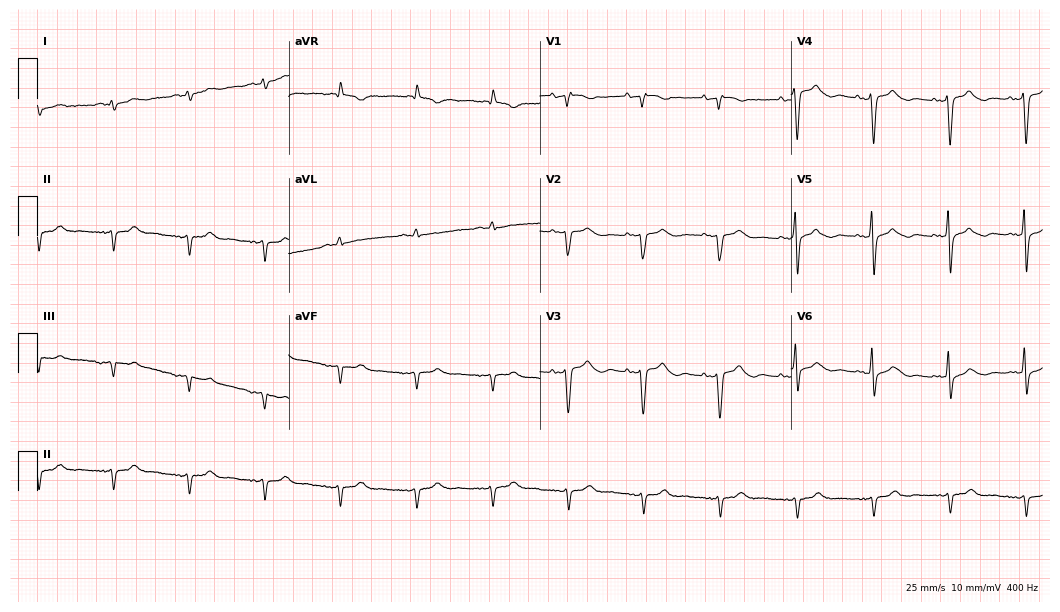
Standard 12-lead ECG recorded from a female, 67 years old. None of these six findings is recorded: first-degree AV block, right bundle branch block, left bundle branch block, sinus bradycardia, atrial fibrillation, sinus tachycardia. Only these six findings were labelled.